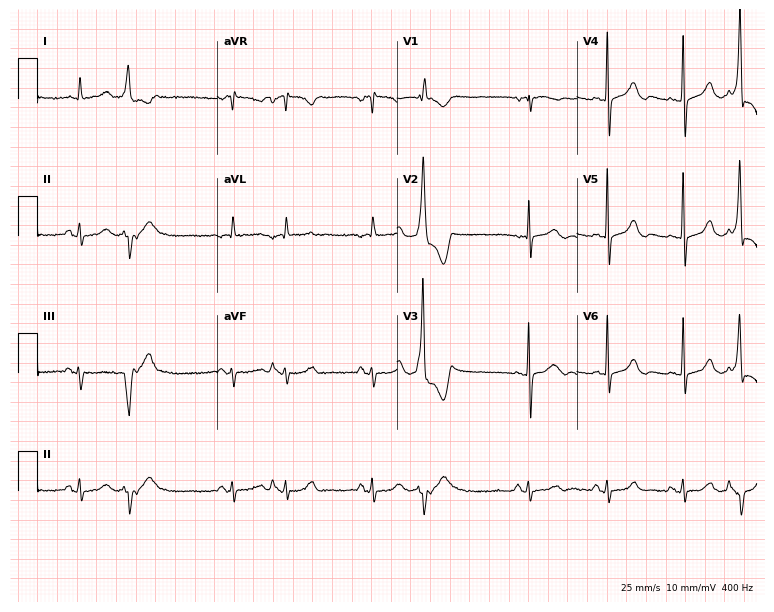
Resting 12-lead electrocardiogram. Patient: an 80-year-old female. None of these six findings is recorded: first-degree AV block, right bundle branch block, left bundle branch block, sinus bradycardia, atrial fibrillation, sinus tachycardia. Only these six findings were labelled.